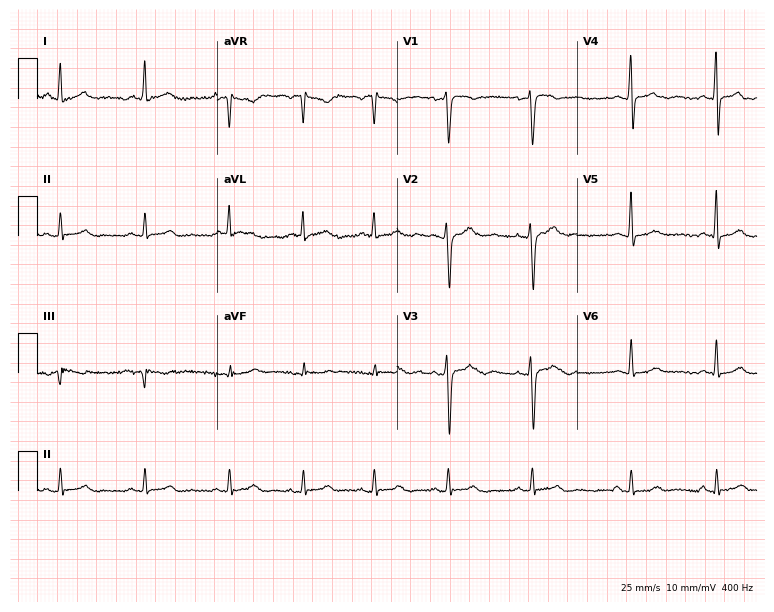
12-lead ECG from a 41-year-old female (7.3-second recording at 400 Hz). Recorded interpretation: within normal limits.